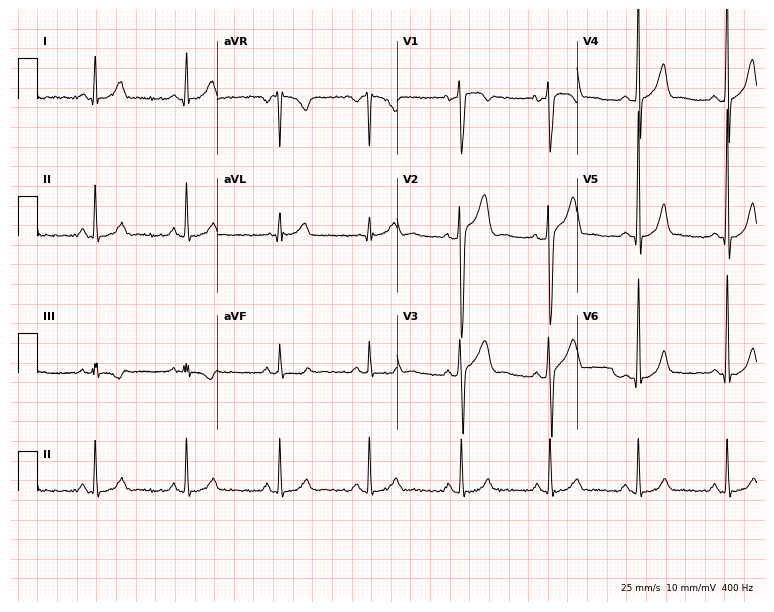
Standard 12-lead ECG recorded from a 30-year-old man (7.3-second recording at 400 Hz). None of these six findings is recorded: first-degree AV block, right bundle branch block, left bundle branch block, sinus bradycardia, atrial fibrillation, sinus tachycardia.